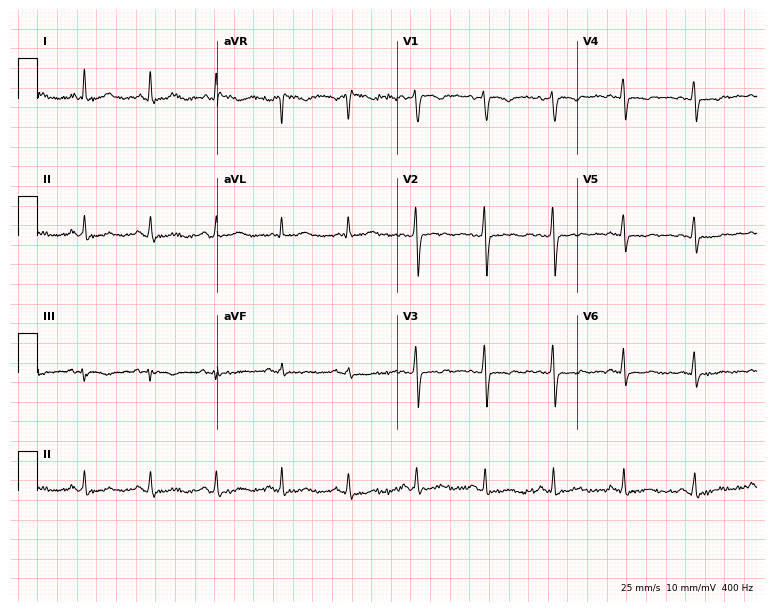
Resting 12-lead electrocardiogram. Patient: a 39-year-old female. None of these six findings is recorded: first-degree AV block, right bundle branch block (RBBB), left bundle branch block (LBBB), sinus bradycardia, atrial fibrillation (AF), sinus tachycardia.